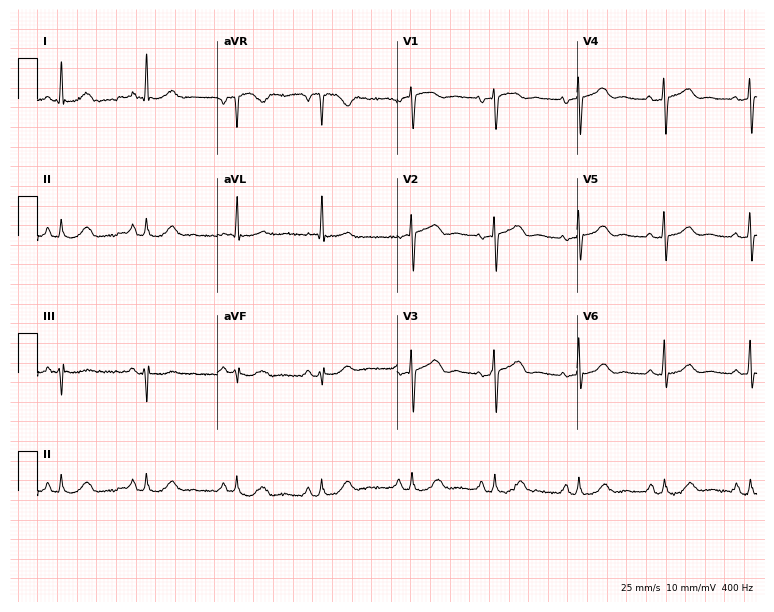
Standard 12-lead ECG recorded from an 83-year-old female patient. Read as a normal ECG.